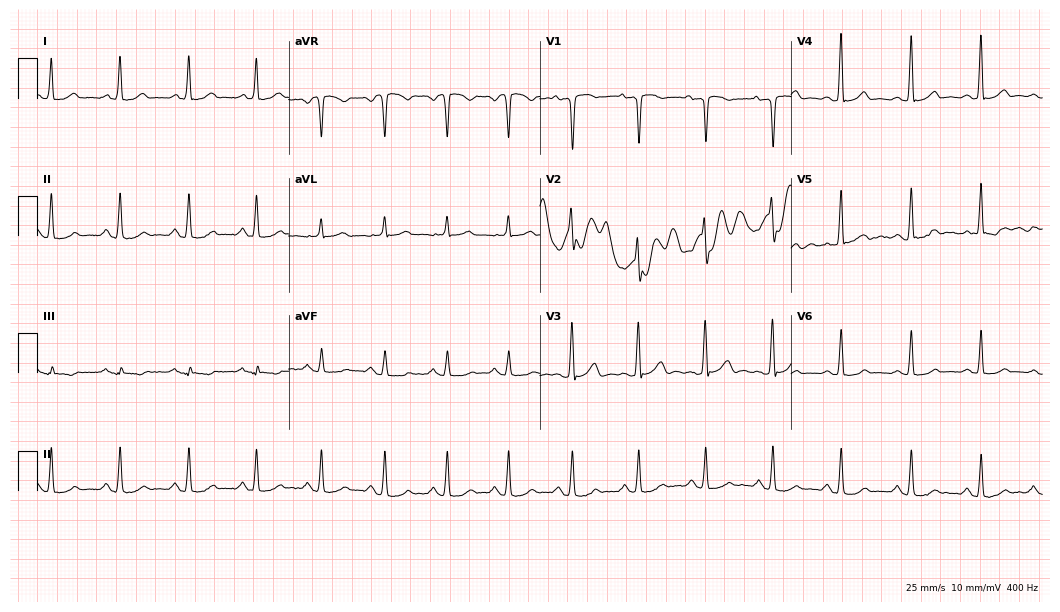
12-lead ECG (10.2-second recording at 400 Hz) from a 46-year-old female. Labelled as a normal ECG.